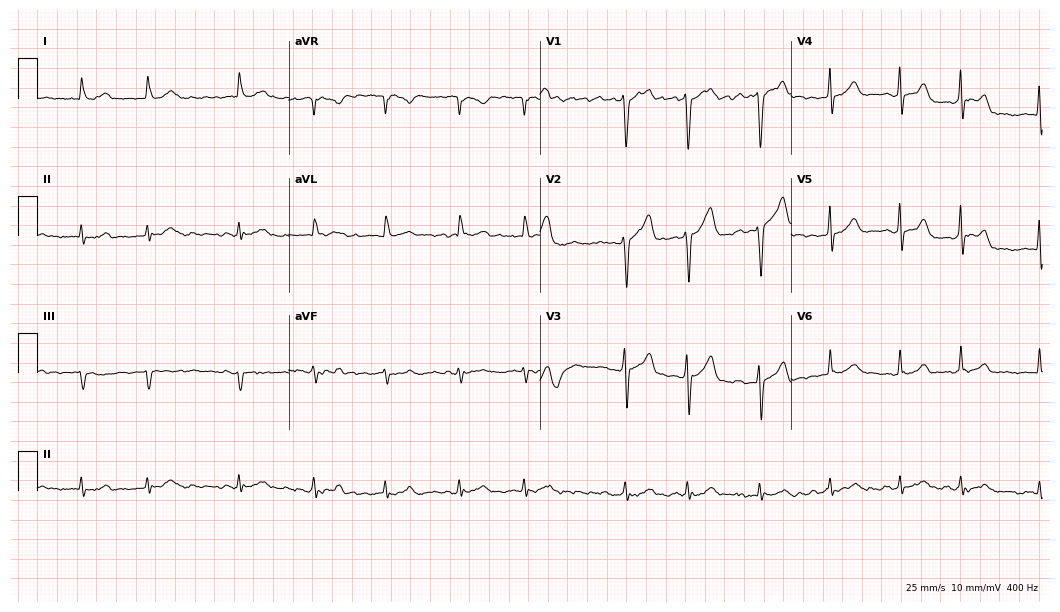
Resting 12-lead electrocardiogram (10.2-second recording at 400 Hz). Patient: a 66-year-old male. The tracing shows atrial fibrillation (AF).